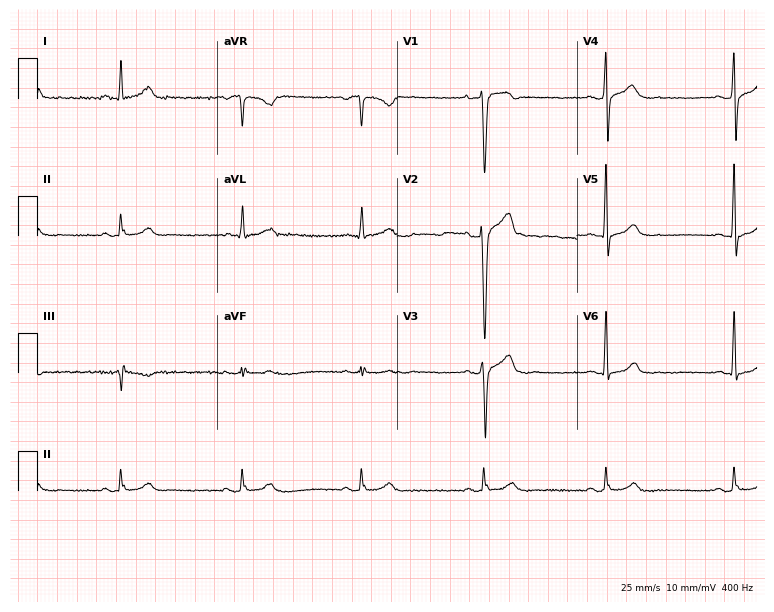
ECG — a man, 38 years old. Screened for six findings — first-degree AV block, right bundle branch block, left bundle branch block, sinus bradycardia, atrial fibrillation, sinus tachycardia — none is recorded.